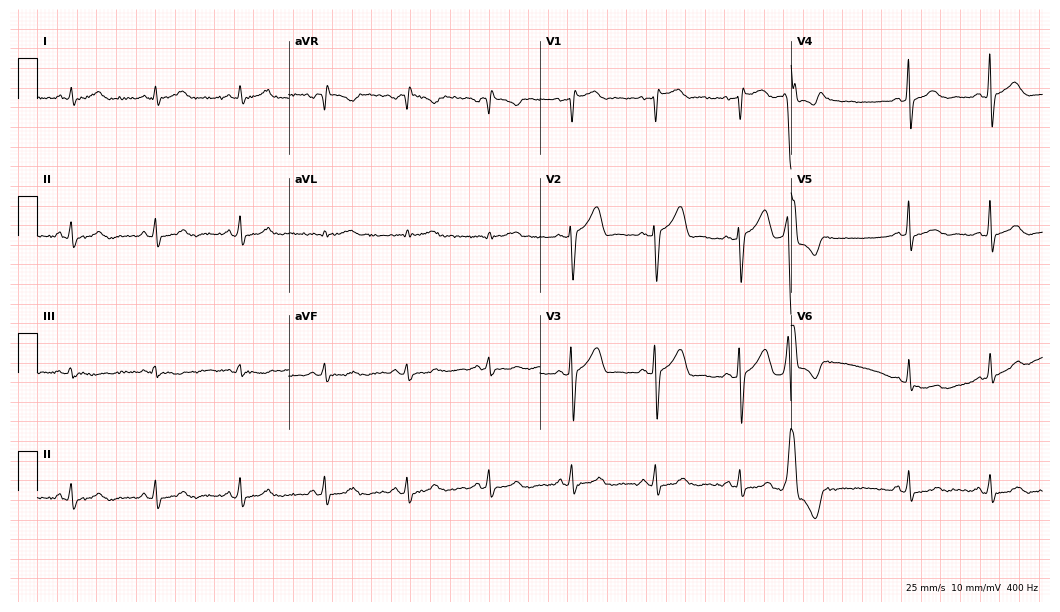
Resting 12-lead electrocardiogram (10.2-second recording at 400 Hz). Patient: a man, 58 years old. Read as a normal ECG.